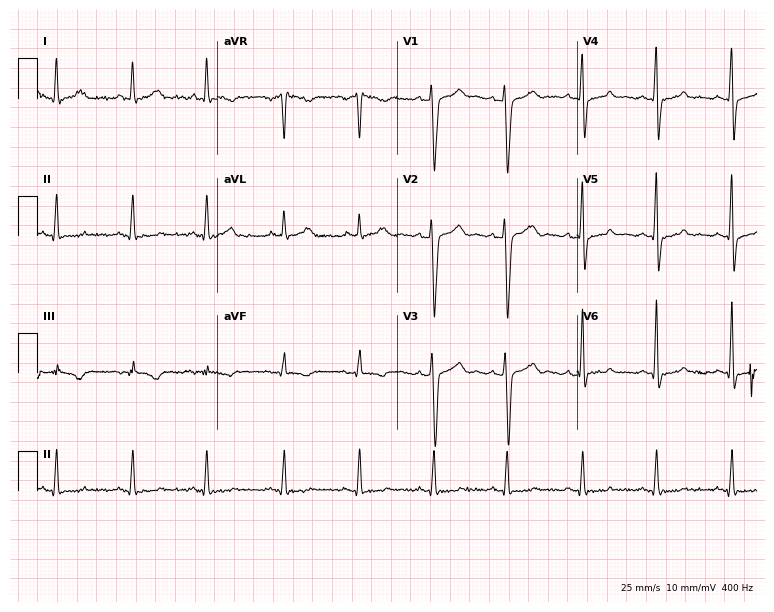
12-lead ECG from a male patient, 44 years old (7.3-second recording at 400 Hz). No first-degree AV block, right bundle branch block, left bundle branch block, sinus bradycardia, atrial fibrillation or sinus tachycardia recorded for this tracing.